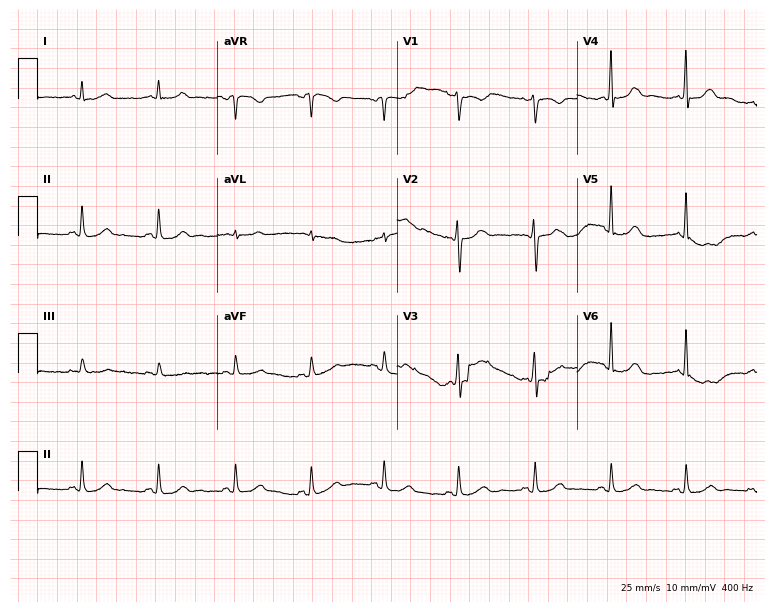
Standard 12-lead ECG recorded from a 46-year-old female (7.3-second recording at 400 Hz). None of these six findings is recorded: first-degree AV block, right bundle branch block, left bundle branch block, sinus bradycardia, atrial fibrillation, sinus tachycardia. Findings outside these six are not listed.